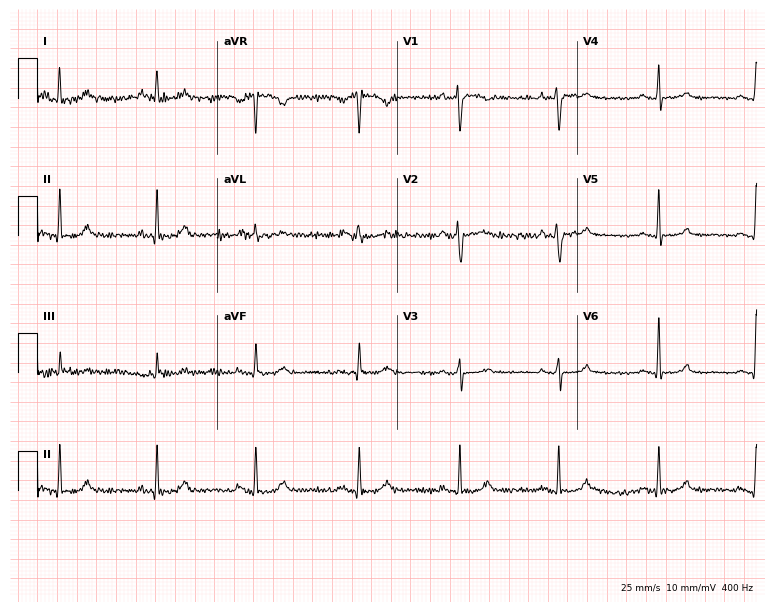
Resting 12-lead electrocardiogram. Patient: a 51-year-old female. Read as a normal ECG.